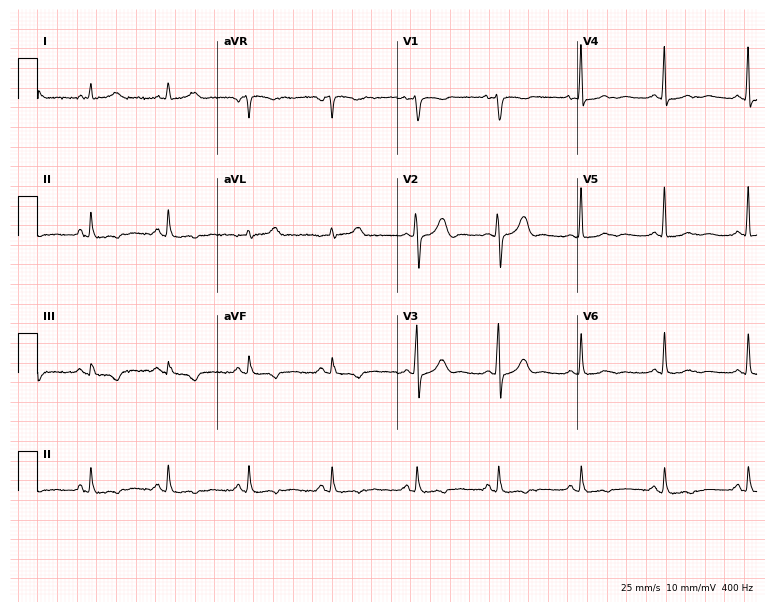
12-lead ECG from a 42-year-old female patient (7.3-second recording at 400 Hz). No first-degree AV block, right bundle branch block, left bundle branch block, sinus bradycardia, atrial fibrillation or sinus tachycardia recorded for this tracing.